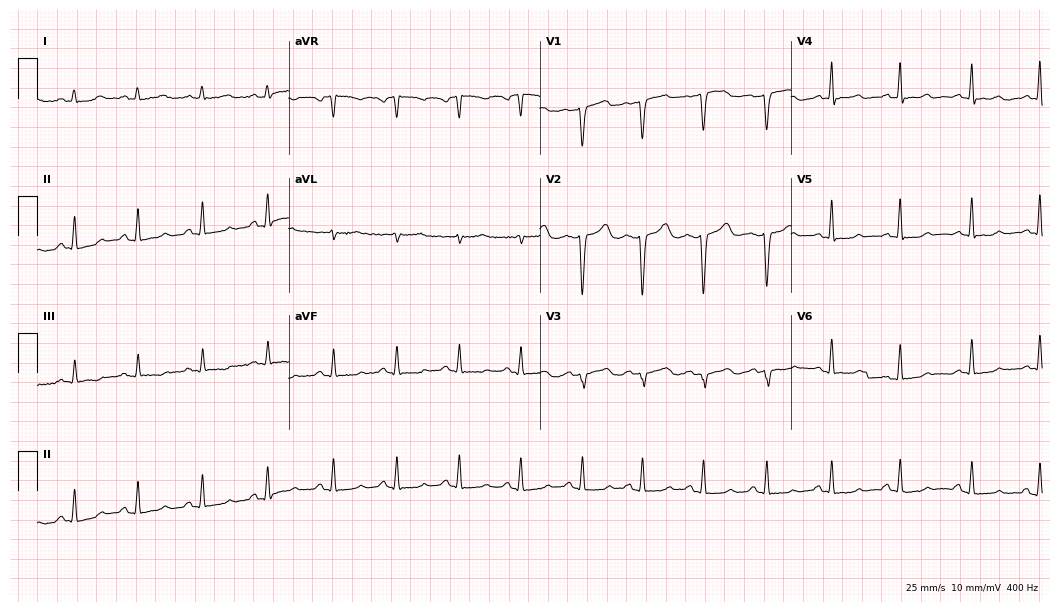
ECG — a woman, 52 years old. Screened for six findings — first-degree AV block, right bundle branch block, left bundle branch block, sinus bradycardia, atrial fibrillation, sinus tachycardia — none is recorded.